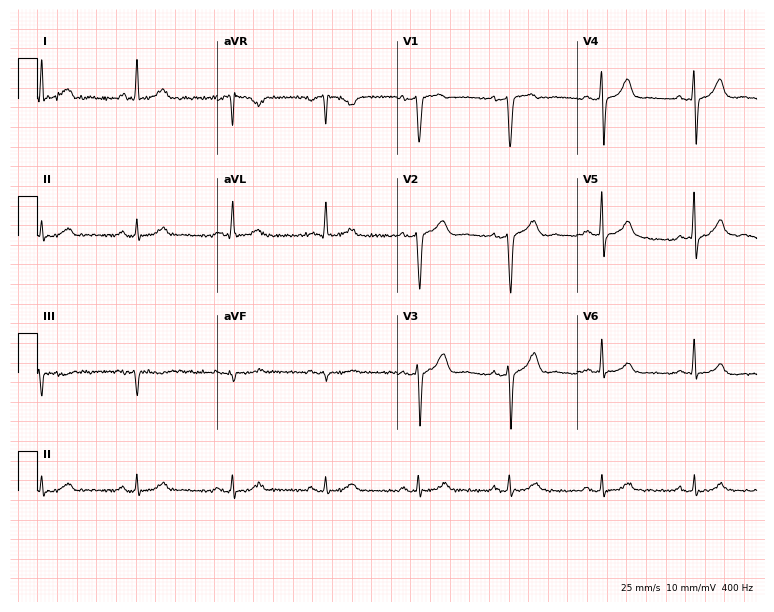
ECG — a male patient, 59 years old. Screened for six findings — first-degree AV block, right bundle branch block (RBBB), left bundle branch block (LBBB), sinus bradycardia, atrial fibrillation (AF), sinus tachycardia — none is recorded.